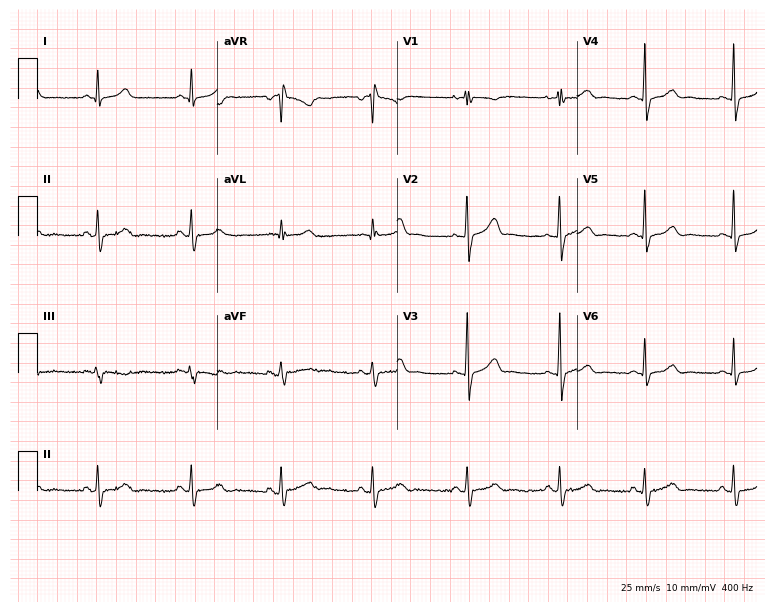
12-lead ECG from a 26-year-old woman. Recorded interpretation: within normal limits.